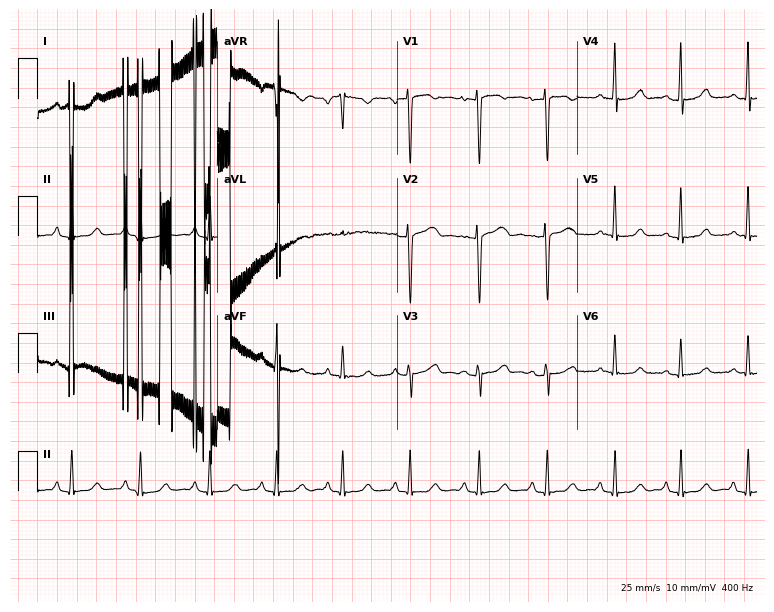
Standard 12-lead ECG recorded from a female patient, 38 years old (7.3-second recording at 400 Hz). Read as a normal ECG.